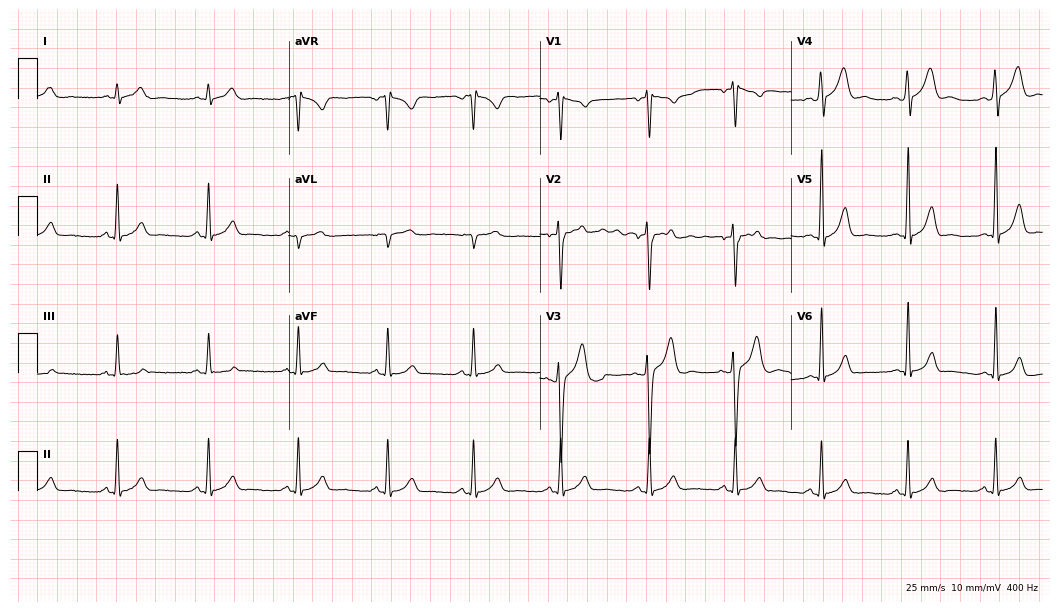
Resting 12-lead electrocardiogram. Patient: a 26-year-old male. None of these six findings is recorded: first-degree AV block, right bundle branch block, left bundle branch block, sinus bradycardia, atrial fibrillation, sinus tachycardia. Findings outside these six are not listed.